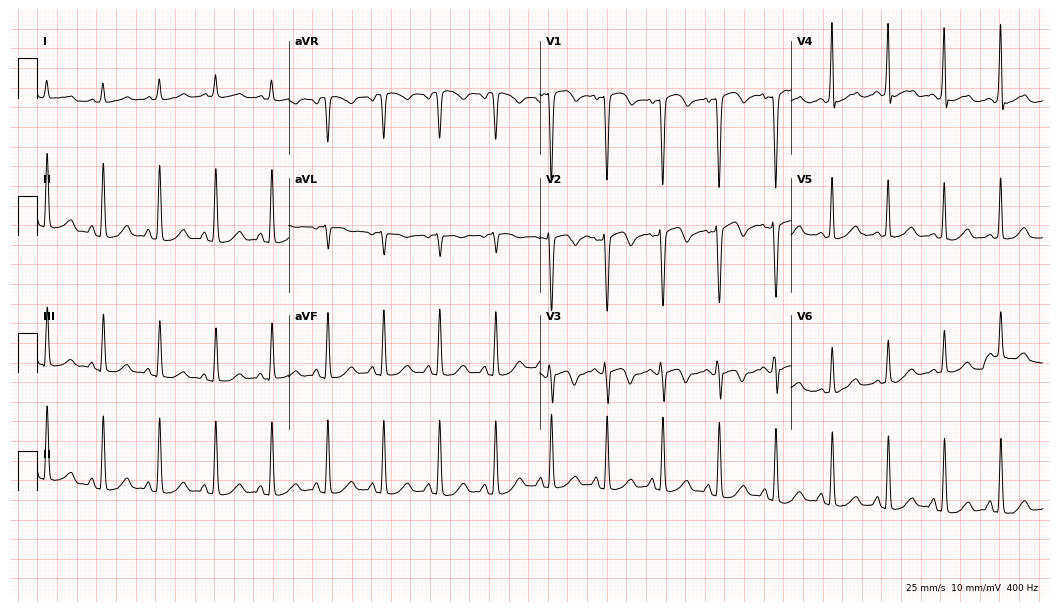
12-lead ECG from a man, 45 years old (10.2-second recording at 400 Hz). Shows sinus tachycardia (a sinus rate of 100 beats per minute or more).